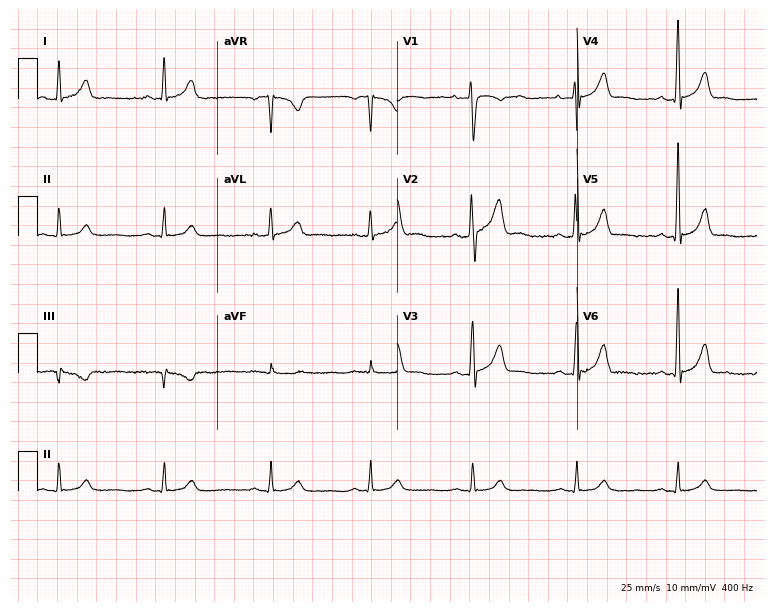
12-lead ECG (7.3-second recording at 400 Hz) from a male patient, 38 years old. Labelled as a normal ECG.